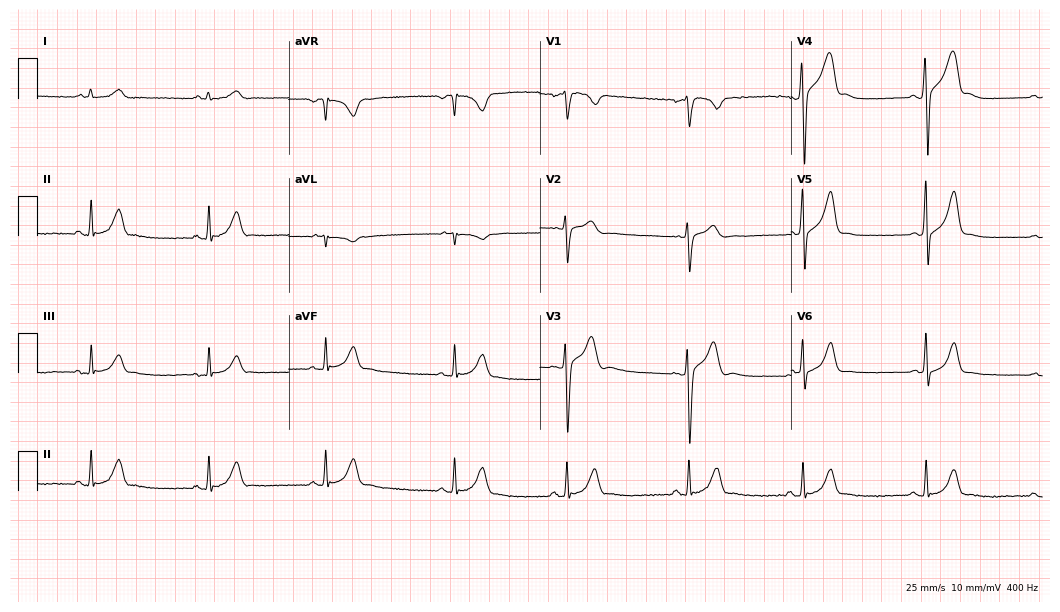
Standard 12-lead ECG recorded from a 21-year-old man. None of these six findings is recorded: first-degree AV block, right bundle branch block, left bundle branch block, sinus bradycardia, atrial fibrillation, sinus tachycardia. Only these six findings were labelled.